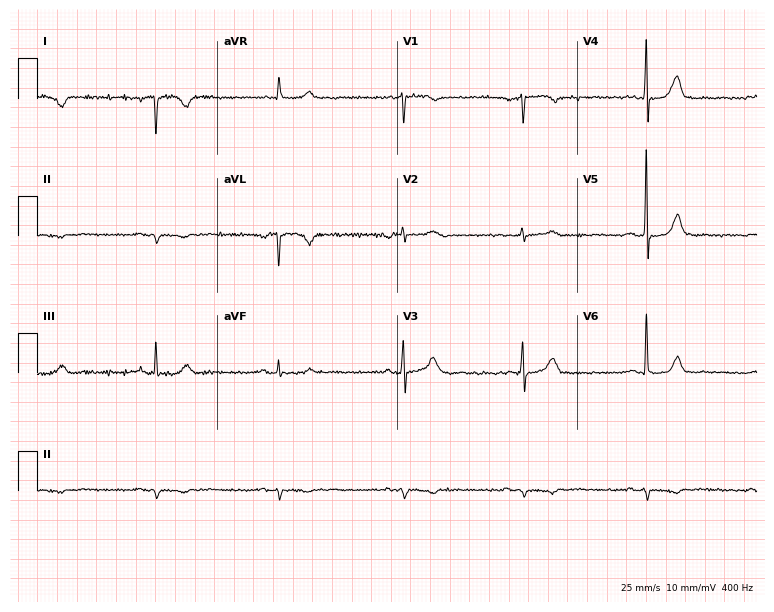
12-lead ECG from a 53-year-old woman (7.3-second recording at 400 Hz). No first-degree AV block, right bundle branch block, left bundle branch block, sinus bradycardia, atrial fibrillation or sinus tachycardia recorded for this tracing.